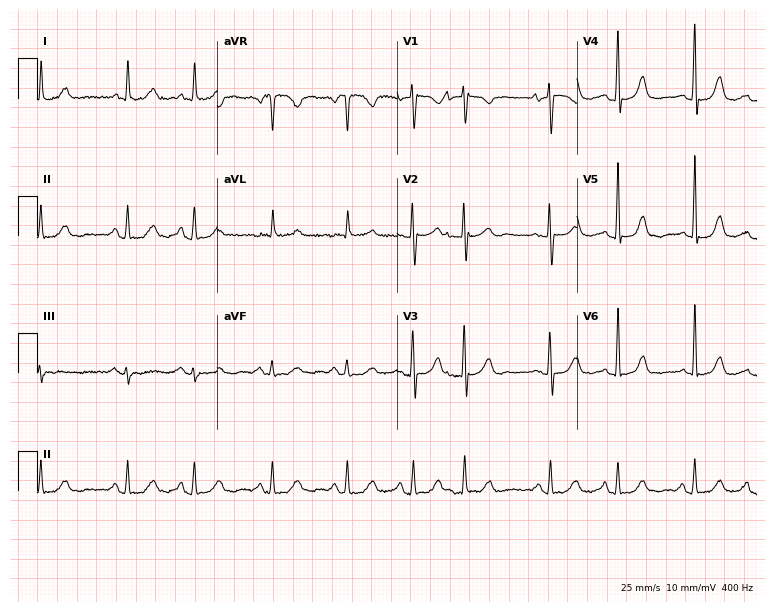
Electrocardiogram, a female, 82 years old. Of the six screened findings (first-degree AV block, right bundle branch block (RBBB), left bundle branch block (LBBB), sinus bradycardia, atrial fibrillation (AF), sinus tachycardia), none is recorded. Other findings, if any, are not listed.